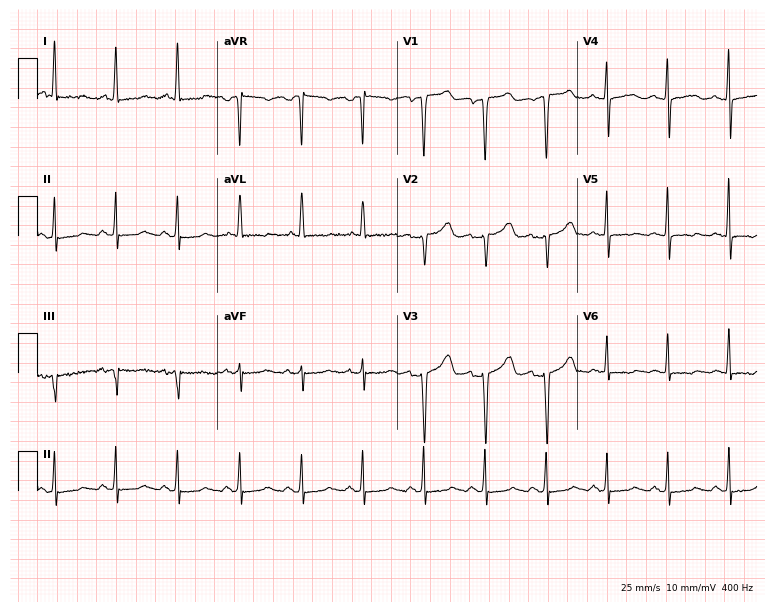
Resting 12-lead electrocardiogram (7.3-second recording at 400 Hz). Patient: a 51-year-old female. None of these six findings is recorded: first-degree AV block, right bundle branch block, left bundle branch block, sinus bradycardia, atrial fibrillation, sinus tachycardia. Other findings, if any, are not listed.